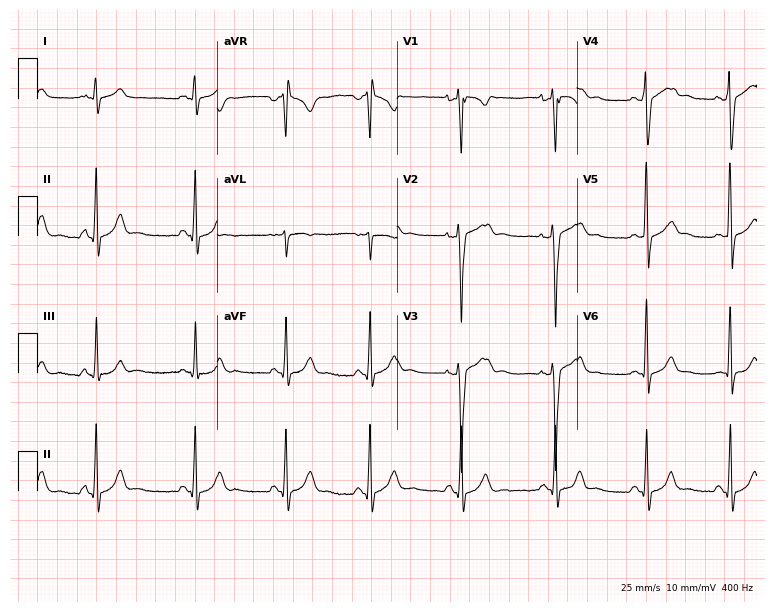
12-lead ECG (7.3-second recording at 400 Hz) from a male, 18 years old. Screened for six findings — first-degree AV block, right bundle branch block, left bundle branch block, sinus bradycardia, atrial fibrillation, sinus tachycardia — none is recorded.